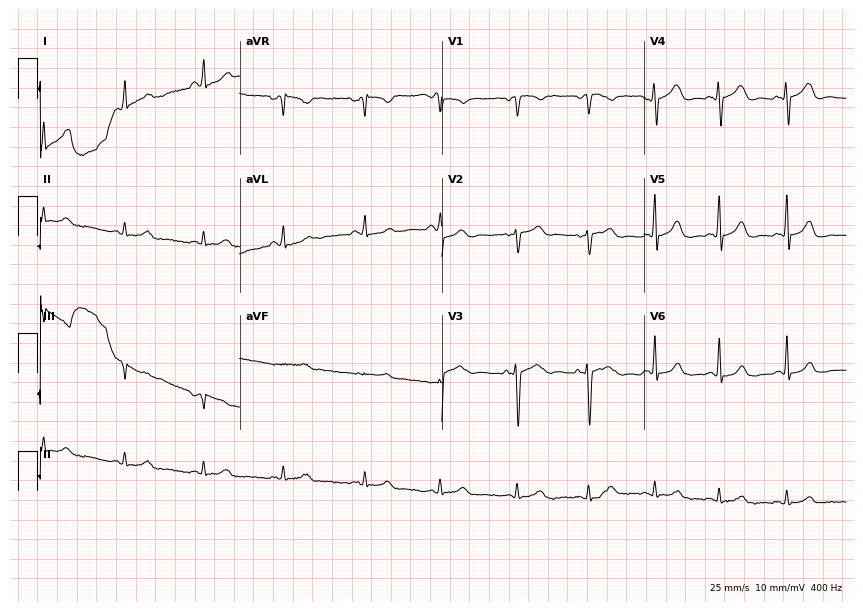
Standard 12-lead ECG recorded from a 46-year-old woman. None of these six findings is recorded: first-degree AV block, right bundle branch block, left bundle branch block, sinus bradycardia, atrial fibrillation, sinus tachycardia. Other findings, if any, are not listed.